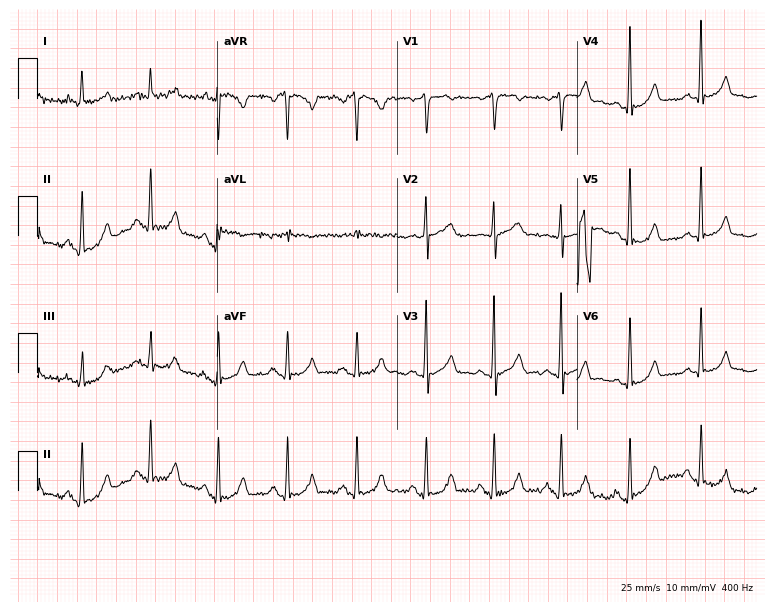
Standard 12-lead ECG recorded from a 58-year-old man. Read as a normal ECG.